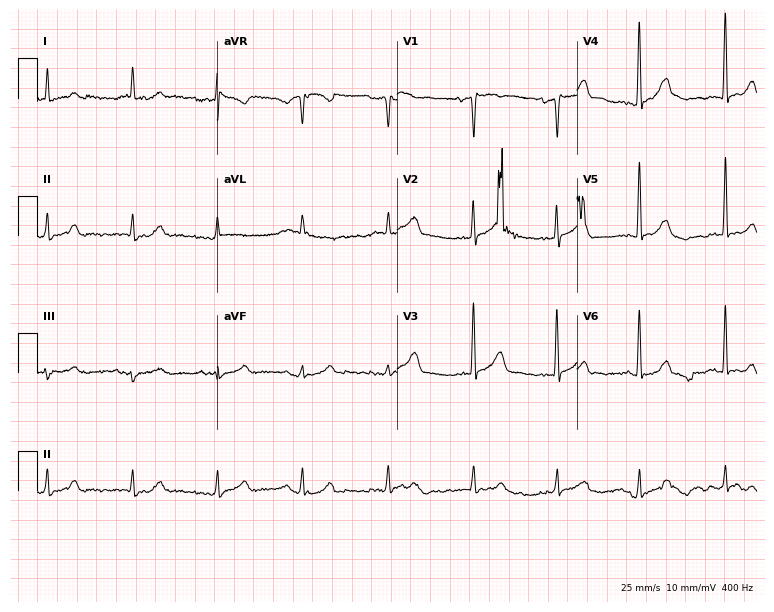
Resting 12-lead electrocardiogram. Patient: a male, 74 years old. Read as a normal ECG.